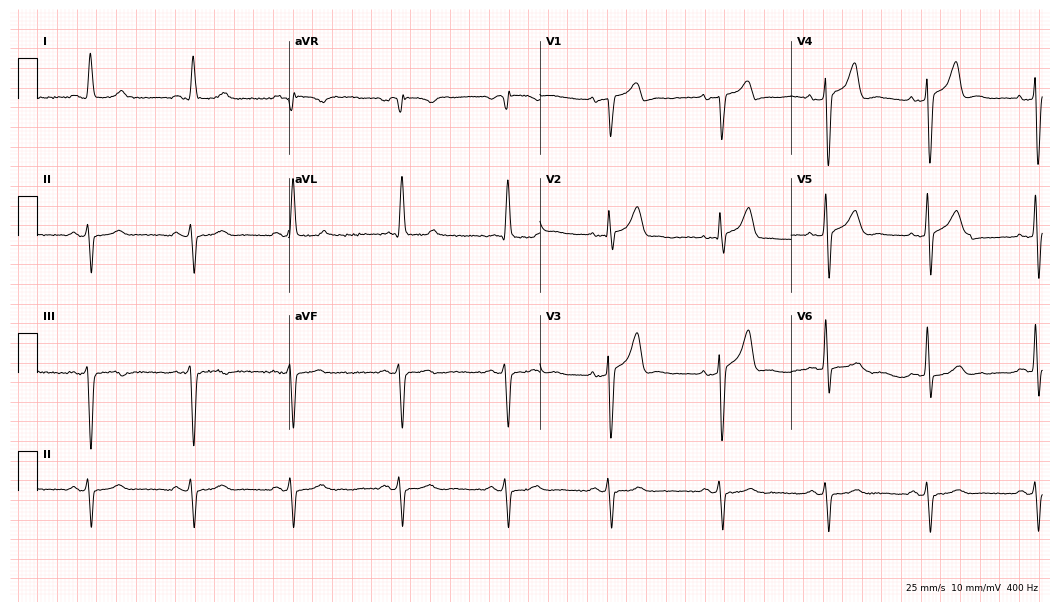
ECG — a male, 74 years old. Screened for six findings — first-degree AV block, right bundle branch block, left bundle branch block, sinus bradycardia, atrial fibrillation, sinus tachycardia — none is recorded. Only these six findings were labelled.